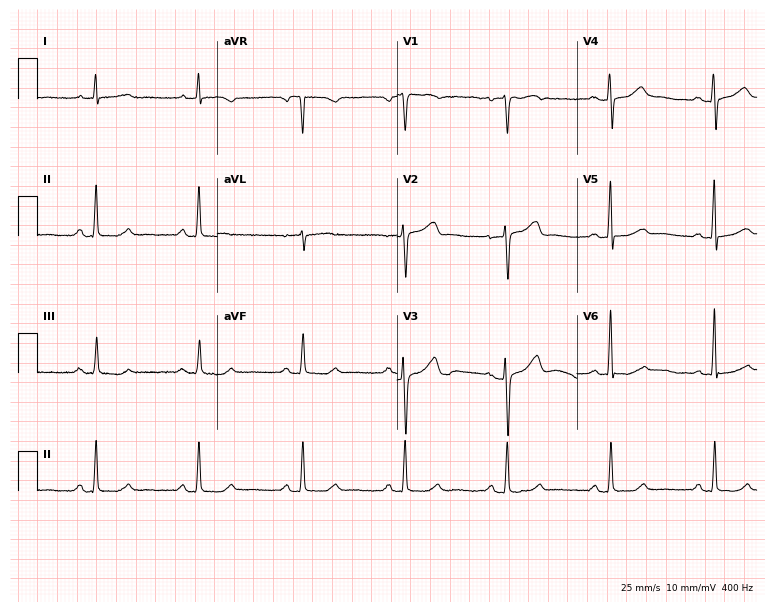
ECG — a 45-year-old female. Screened for six findings — first-degree AV block, right bundle branch block, left bundle branch block, sinus bradycardia, atrial fibrillation, sinus tachycardia — none is recorded. Findings outside these six are not listed.